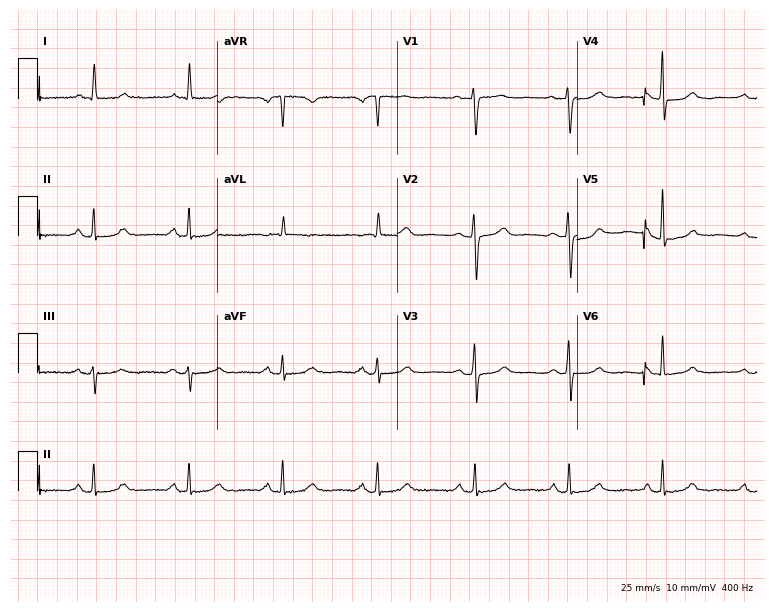
12-lead ECG from a 66-year-old female patient. Recorded interpretation: within normal limits.